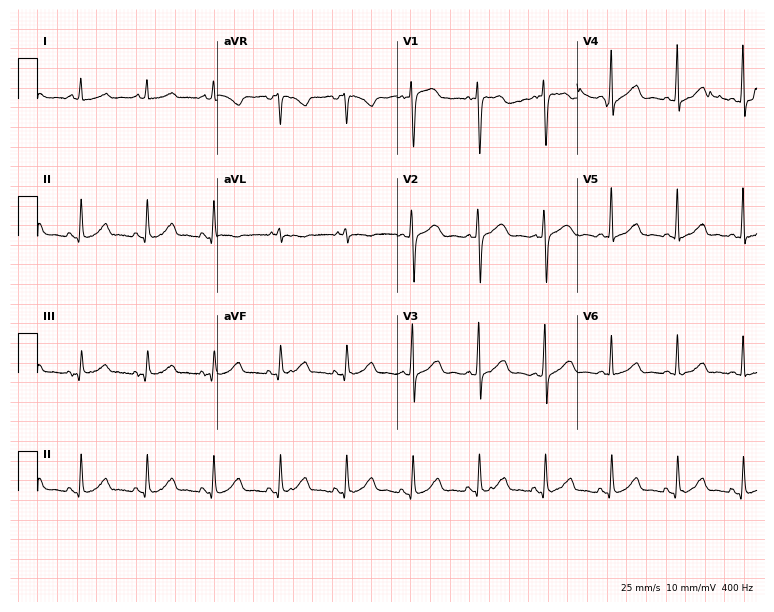
ECG (7.3-second recording at 400 Hz) — a 52-year-old woman. Labelled as a normal ECG.